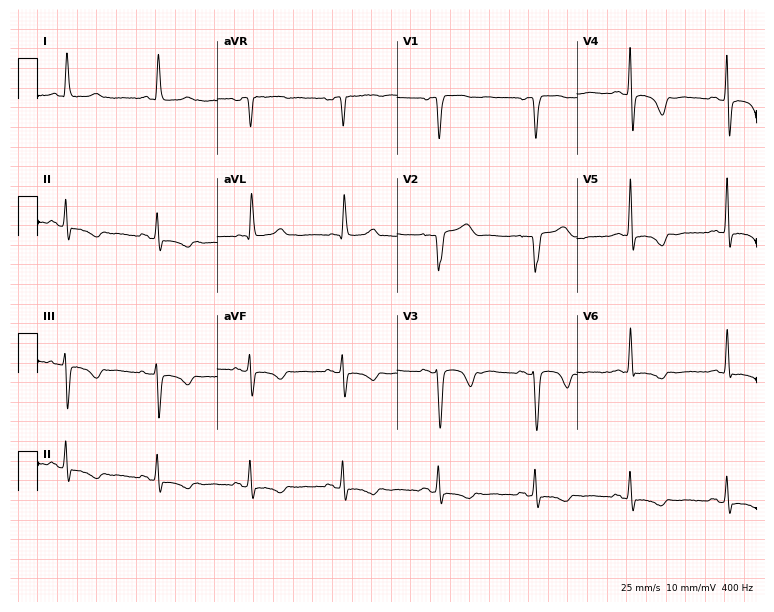
12-lead ECG from a woman, 60 years old. Screened for six findings — first-degree AV block, right bundle branch block, left bundle branch block, sinus bradycardia, atrial fibrillation, sinus tachycardia — none is recorded.